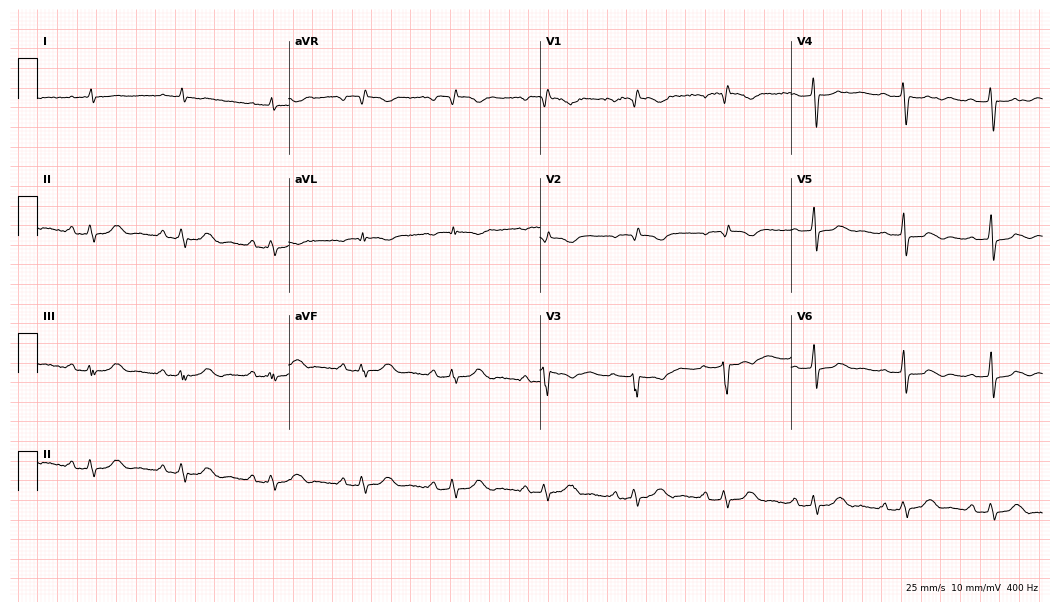
Electrocardiogram (10.2-second recording at 400 Hz), a male patient, 75 years old. Interpretation includes first-degree AV block.